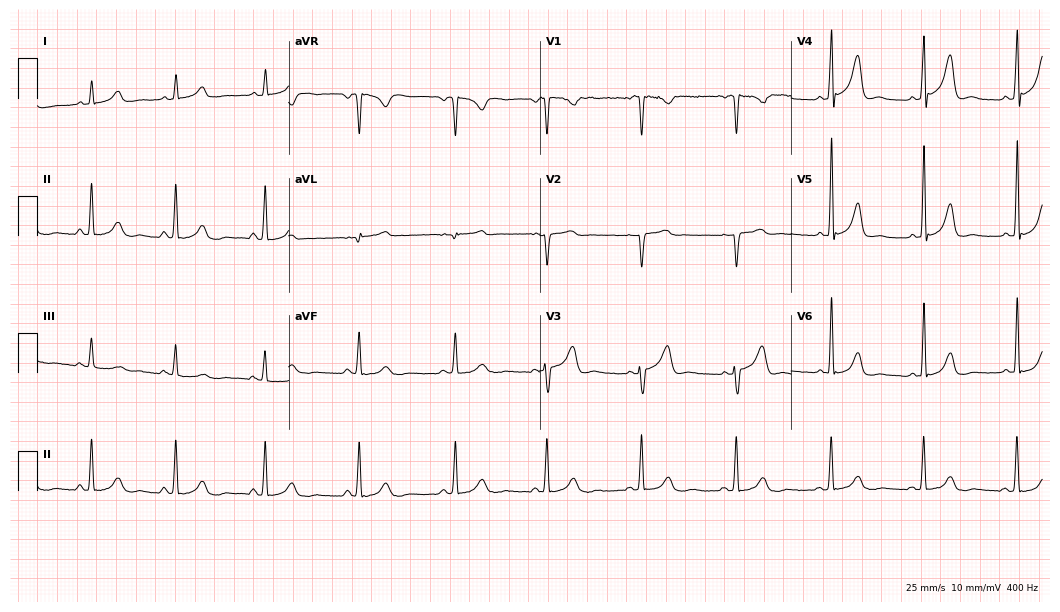
Resting 12-lead electrocardiogram (10.2-second recording at 400 Hz). Patient: a female, 32 years old. None of these six findings is recorded: first-degree AV block, right bundle branch block, left bundle branch block, sinus bradycardia, atrial fibrillation, sinus tachycardia.